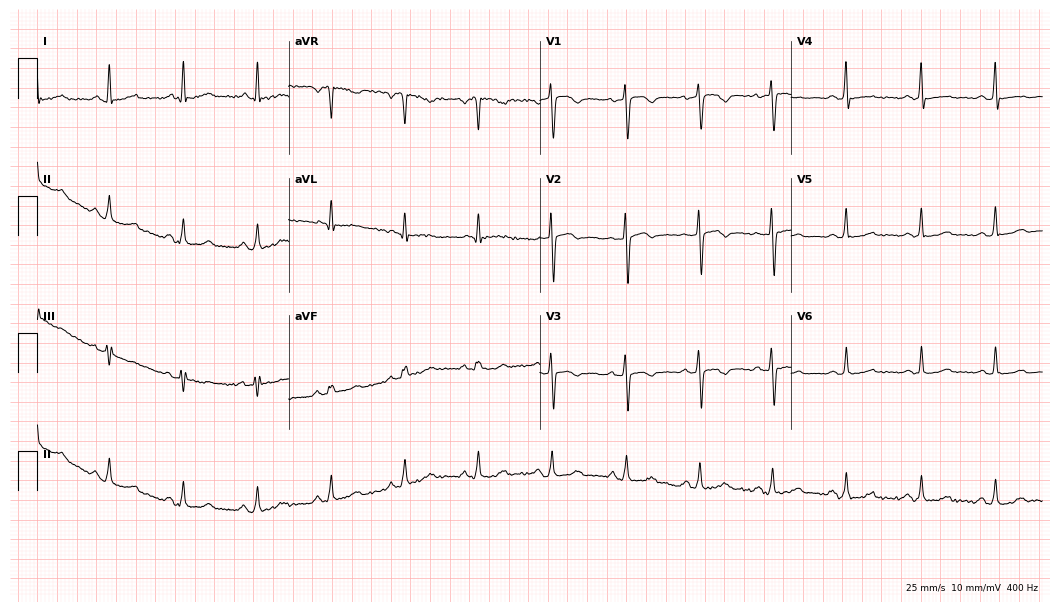
Electrocardiogram, a 56-year-old woman. Of the six screened findings (first-degree AV block, right bundle branch block, left bundle branch block, sinus bradycardia, atrial fibrillation, sinus tachycardia), none is recorded.